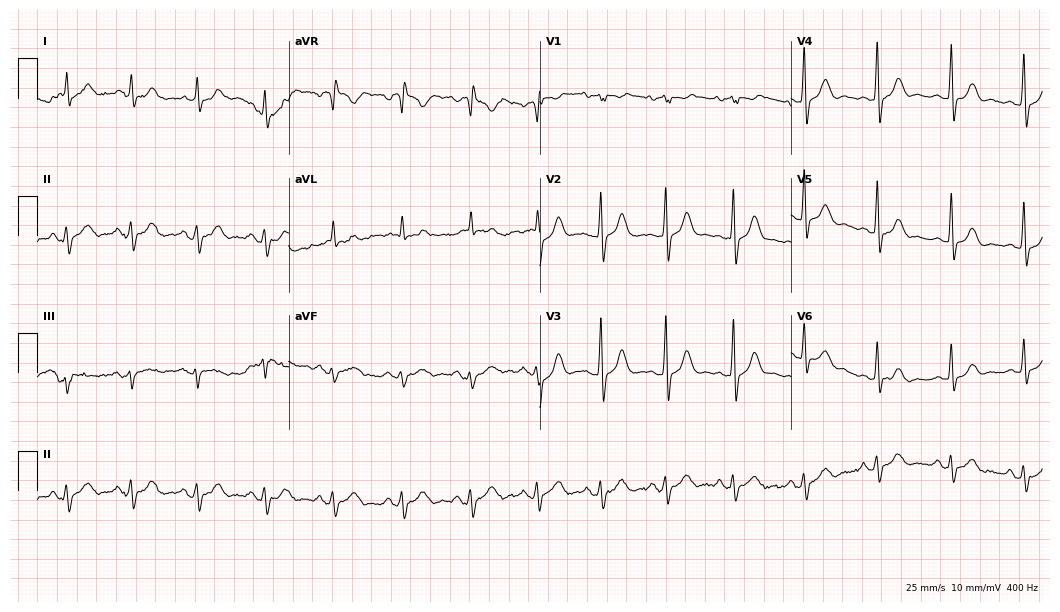
12-lead ECG from a male patient, 68 years old. No first-degree AV block, right bundle branch block, left bundle branch block, sinus bradycardia, atrial fibrillation or sinus tachycardia recorded for this tracing.